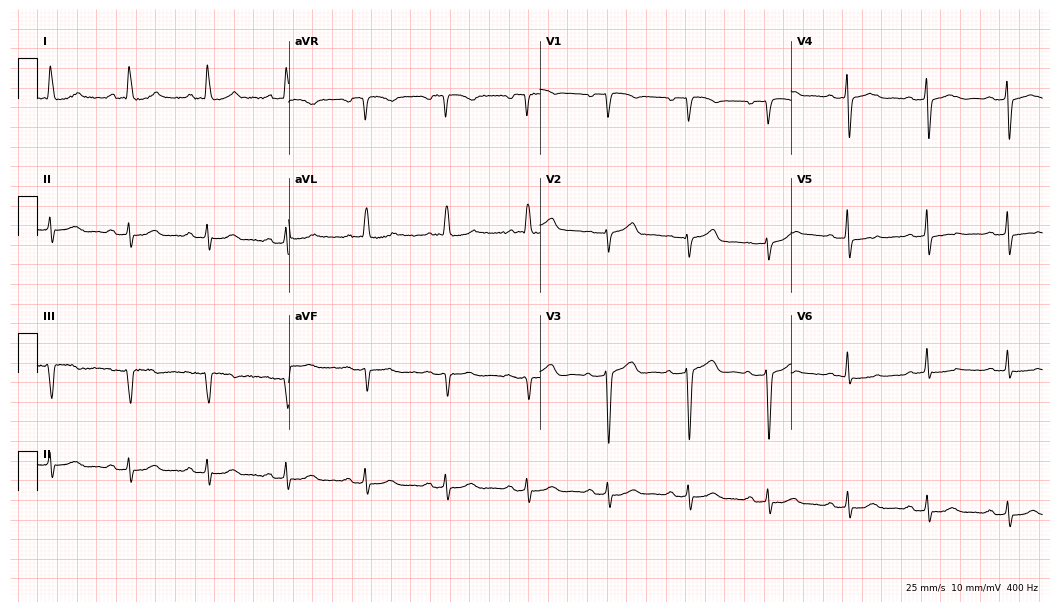
ECG — a female, 81 years old. Labelled as a normal ECG.